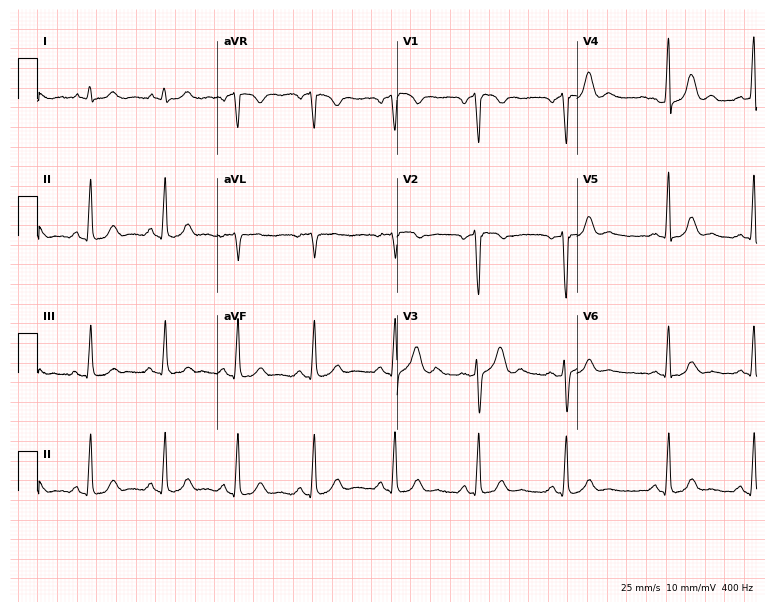
Resting 12-lead electrocardiogram. Patient: a 41-year-old man. Read as a normal ECG.